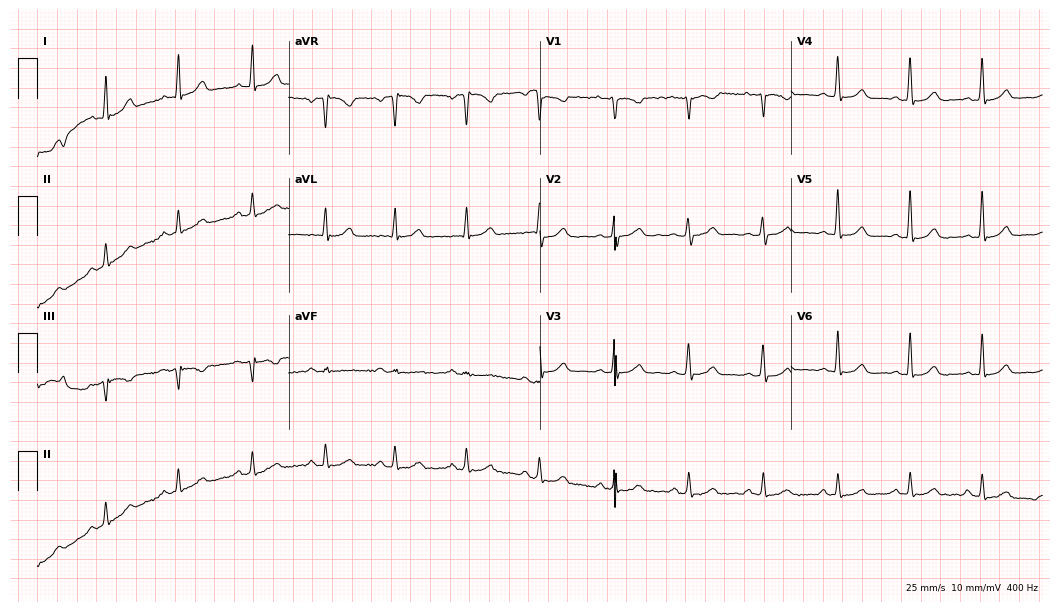
12-lead ECG from a 40-year-old woman. Recorded interpretation: within normal limits.